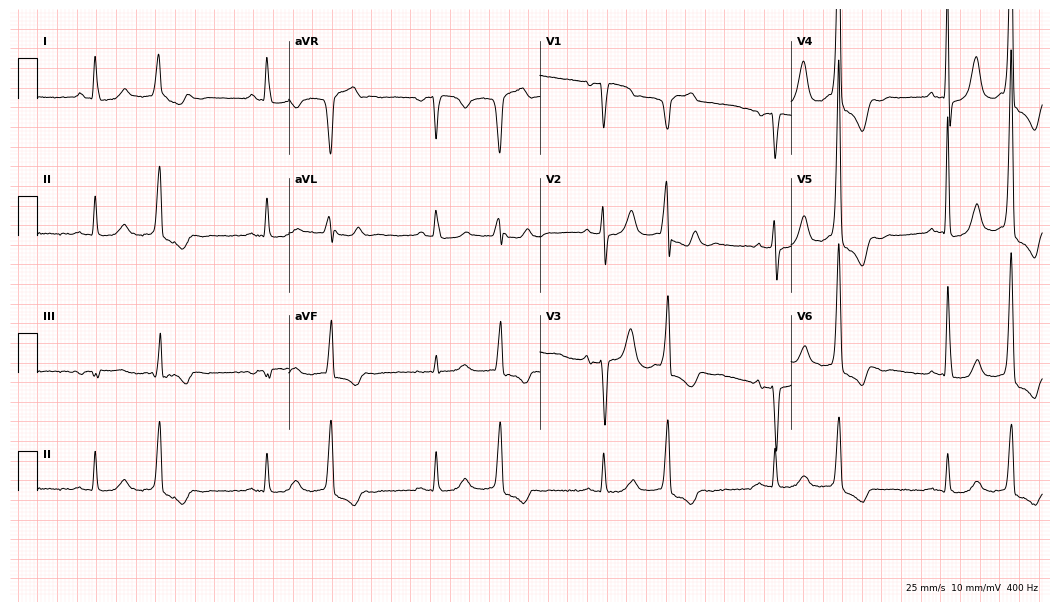
Electrocardiogram (10.2-second recording at 400 Hz), a man, 76 years old. Of the six screened findings (first-degree AV block, right bundle branch block, left bundle branch block, sinus bradycardia, atrial fibrillation, sinus tachycardia), none is recorded. Findings outside these six are not listed.